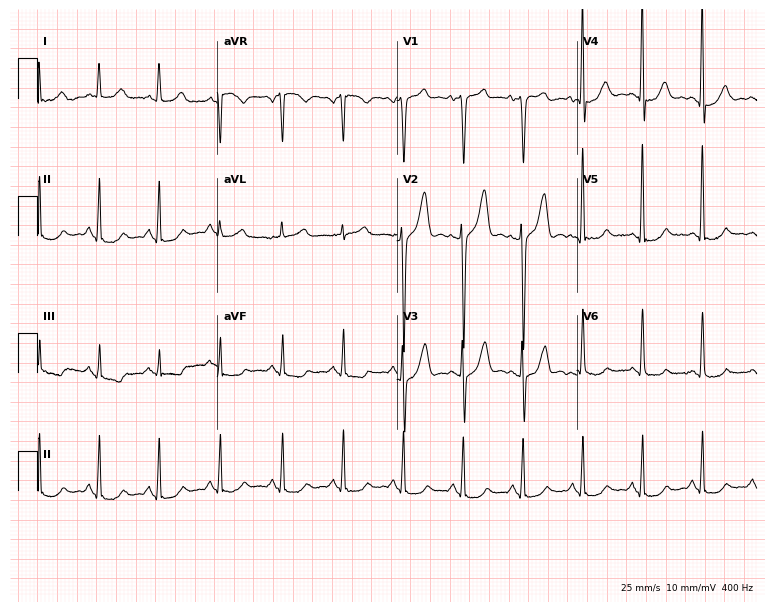
ECG — a 55-year-old male. Screened for six findings — first-degree AV block, right bundle branch block, left bundle branch block, sinus bradycardia, atrial fibrillation, sinus tachycardia — none is recorded.